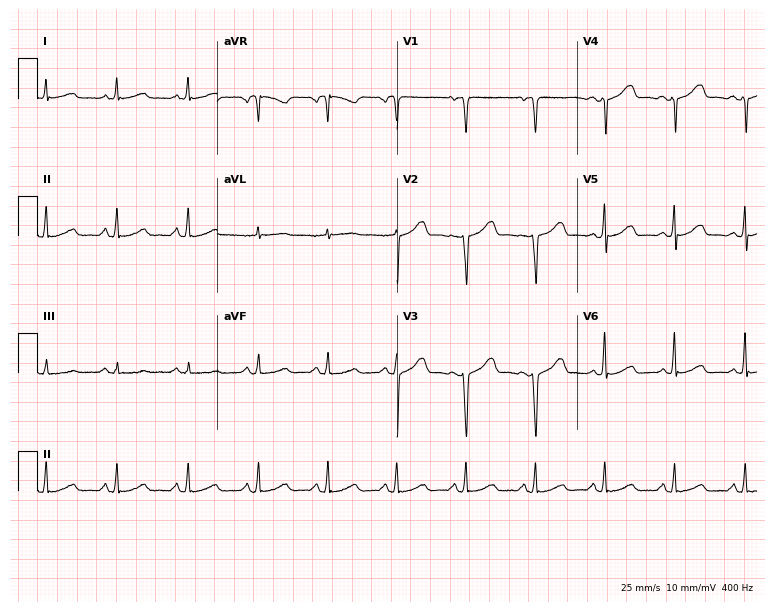
Electrocardiogram, a 48-year-old woman. Of the six screened findings (first-degree AV block, right bundle branch block (RBBB), left bundle branch block (LBBB), sinus bradycardia, atrial fibrillation (AF), sinus tachycardia), none is recorded. Findings outside these six are not listed.